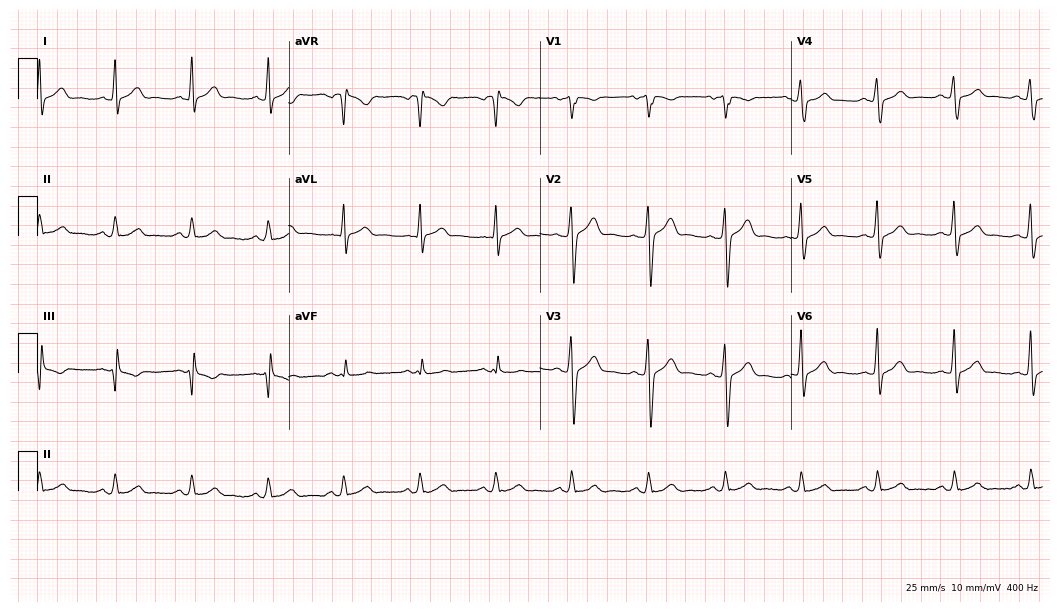
Electrocardiogram, a 49-year-old man. Overall reading on record: normal ECG.